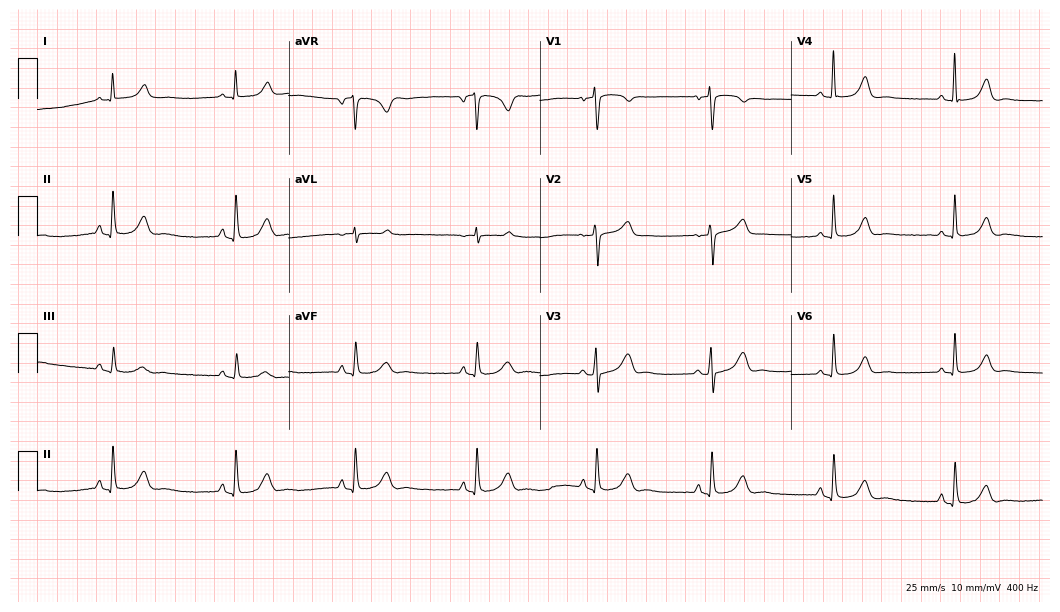
ECG (10.2-second recording at 400 Hz) — a woman, 58 years old. Findings include sinus bradycardia (a sinus rate of 50 beats per minute or less).